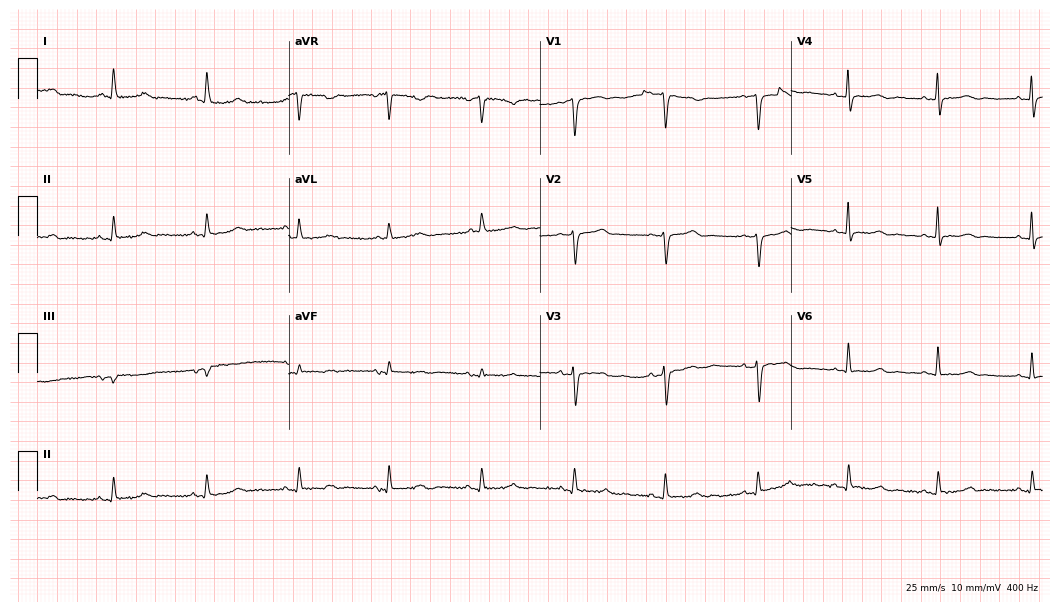
Standard 12-lead ECG recorded from a 75-year-old female patient (10.2-second recording at 400 Hz). None of these six findings is recorded: first-degree AV block, right bundle branch block, left bundle branch block, sinus bradycardia, atrial fibrillation, sinus tachycardia. Only these six findings were labelled.